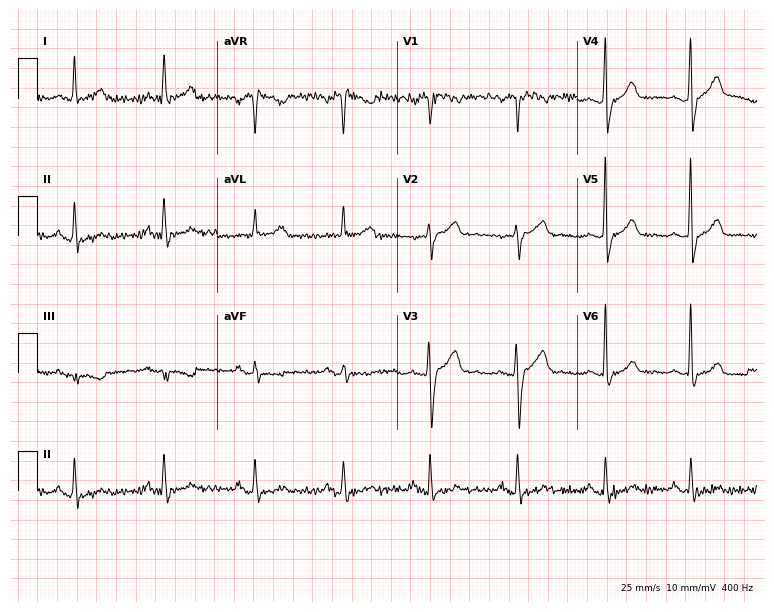
Electrocardiogram (7.3-second recording at 400 Hz), a male patient, 51 years old. Of the six screened findings (first-degree AV block, right bundle branch block (RBBB), left bundle branch block (LBBB), sinus bradycardia, atrial fibrillation (AF), sinus tachycardia), none is recorded. Other findings, if any, are not listed.